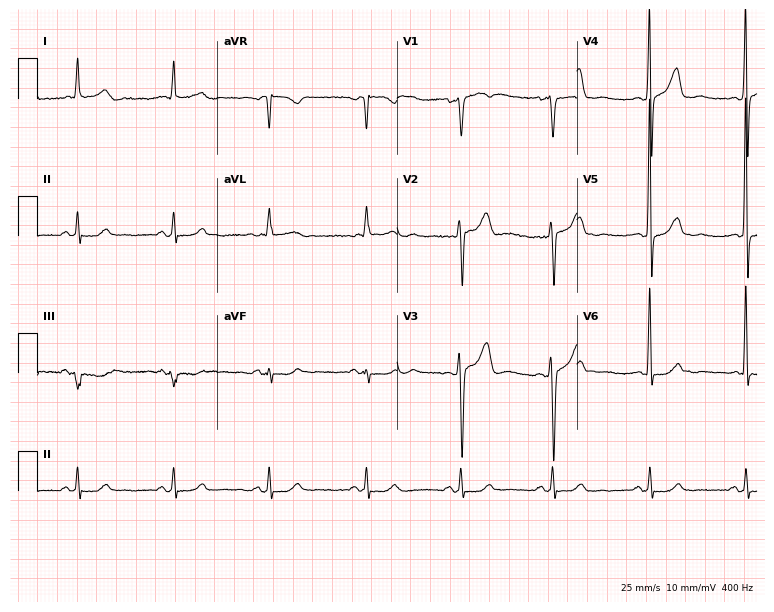
Standard 12-lead ECG recorded from a female patient, 54 years old. None of these six findings is recorded: first-degree AV block, right bundle branch block (RBBB), left bundle branch block (LBBB), sinus bradycardia, atrial fibrillation (AF), sinus tachycardia.